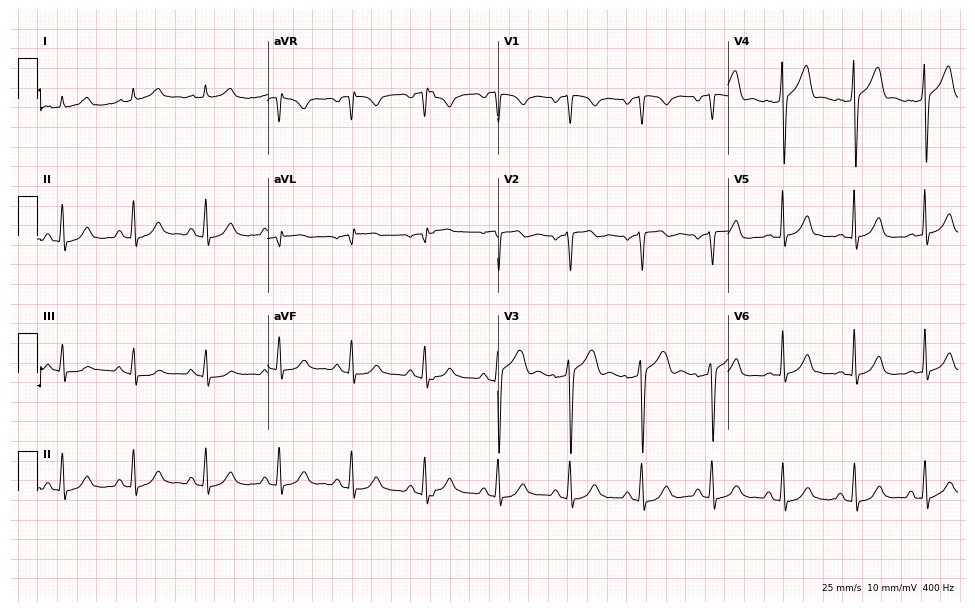
Resting 12-lead electrocardiogram. Patient: a 68-year-old female. Read as a normal ECG.